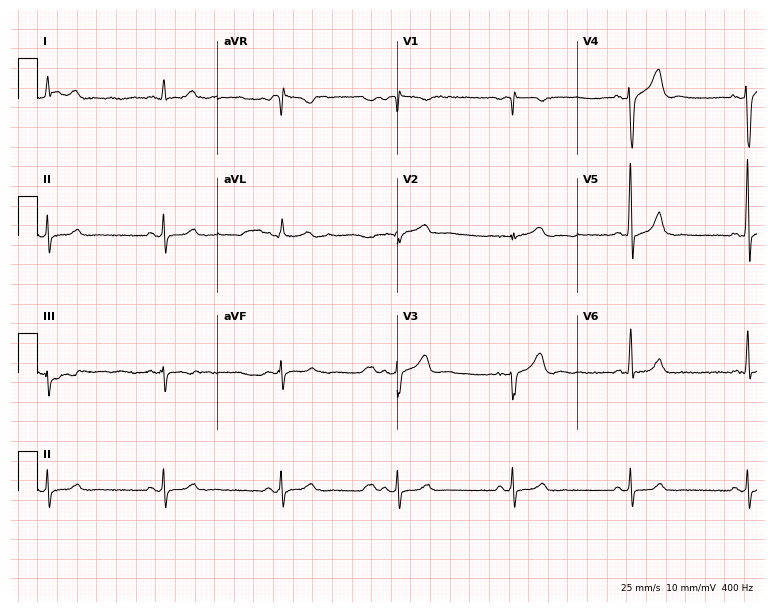
12-lead ECG from a man, 59 years old (7.3-second recording at 400 Hz). No first-degree AV block, right bundle branch block (RBBB), left bundle branch block (LBBB), sinus bradycardia, atrial fibrillation (AF) or sinus tachycardia recorded for this tracing. Only these six findings were labelled.